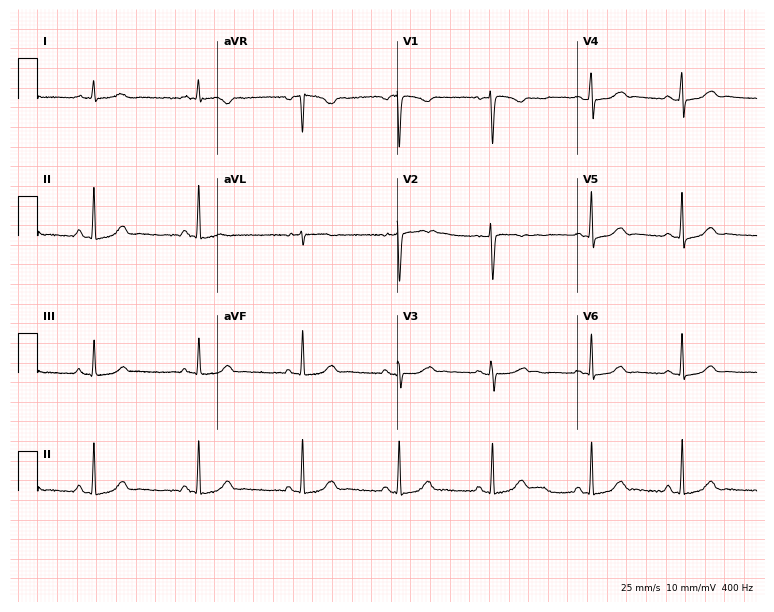
Electrocardiogram (7.3-second recording at 400 Hz), a female, 38 years old. Overall reading on record: normal ECG.